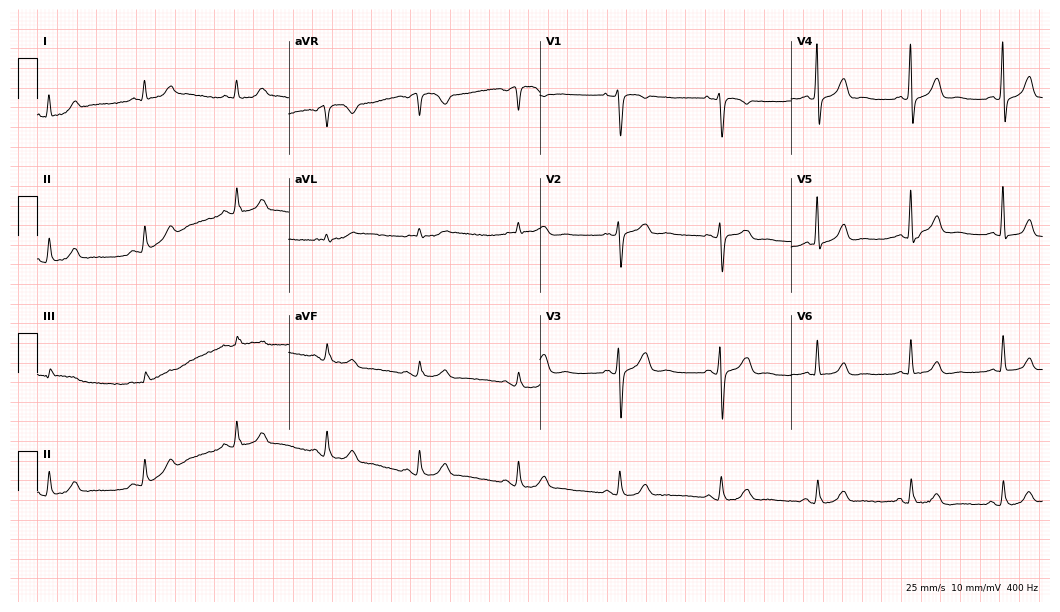
12-lead ECG from a 52-year-old woman. Recorded interpretation: within normal limits.